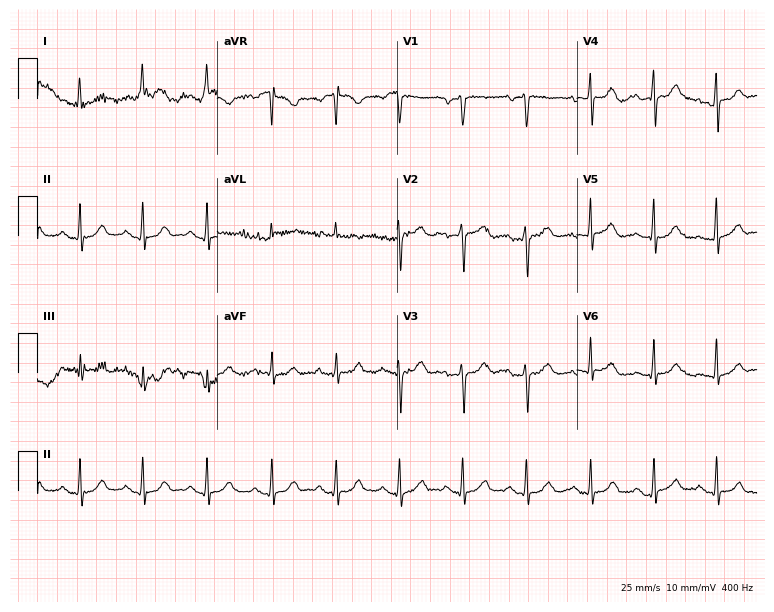
ECG (7.3-second recording at 400 Hz) — a 76-year-old female patient. Labelled as a normal ECG.